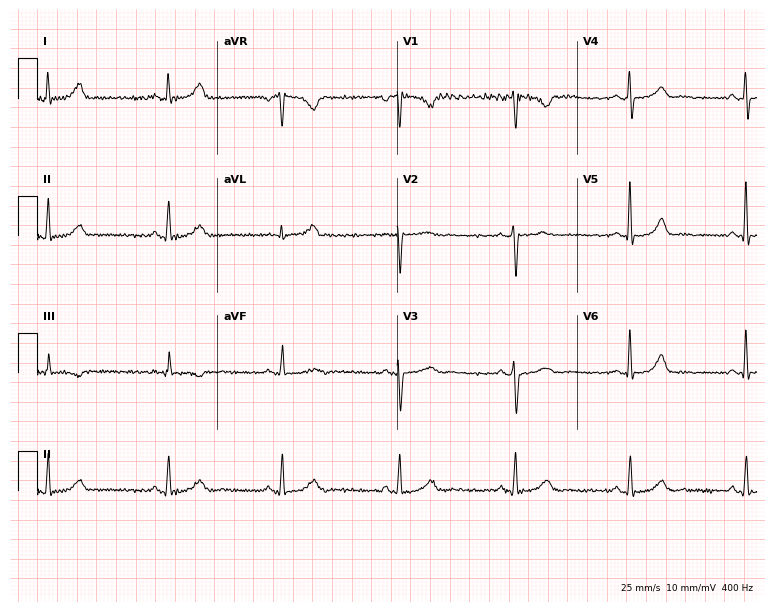
12-lead ECG from a female, 44 years old. Findings include sinus bradycardia (a sinus rate of 50 beats per minute or less).